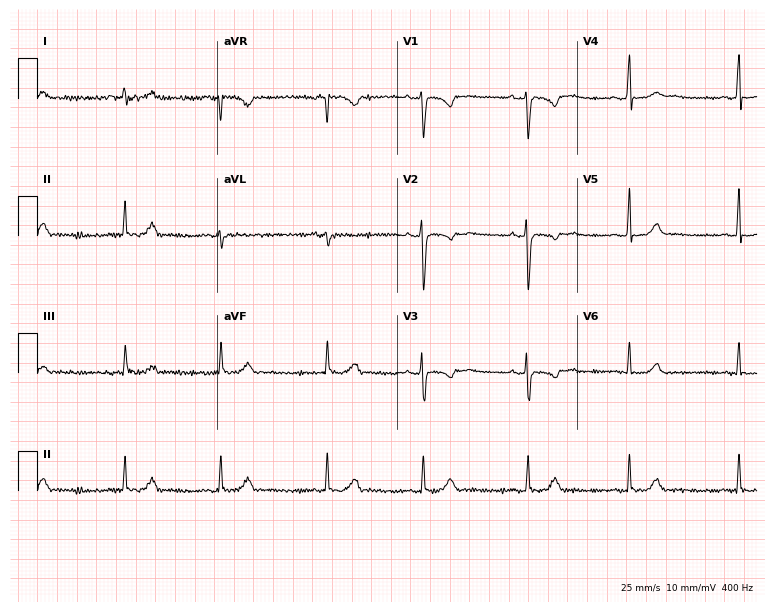
Standard 12-lead ECG recorded from a woman, 22 years old. None of these six findings is recorded: first-degree AV block, right bundle branch block, left bundle branch block, sinus bradycardia, atrial fibrillation, sinus tachycardia.